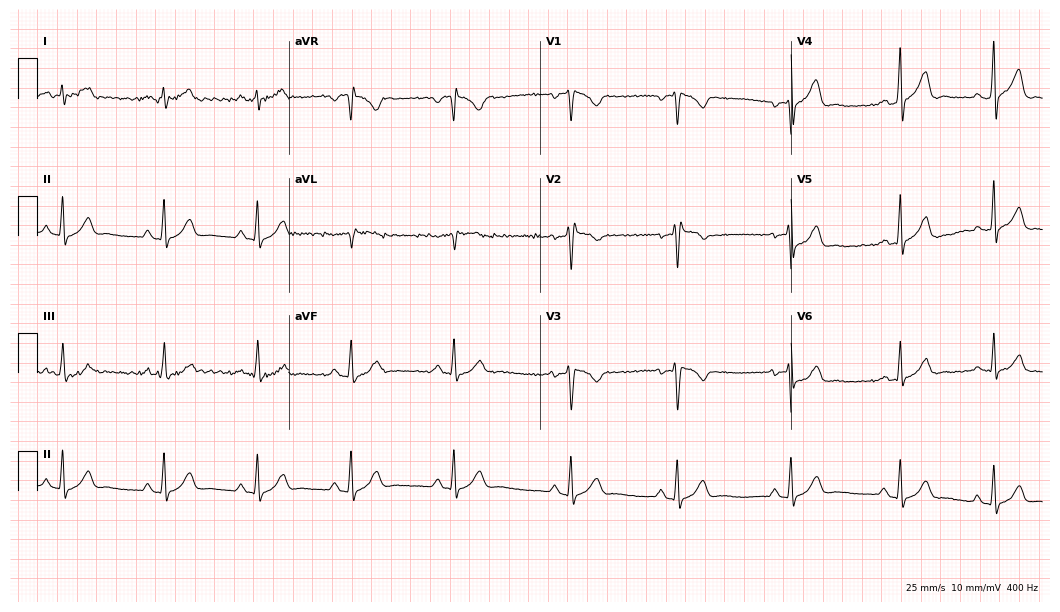
Standard 12-lead ECG recorded from a male patient, 28 years old (10.2-second recording at 400 Hz). None of these six findings is recorded: first-degree AV block, right bundle branch block (RBBB), left bundle branch block (LBBB), sinus bradycardia, atrial fibrillation (AF), sinus tachycardia.